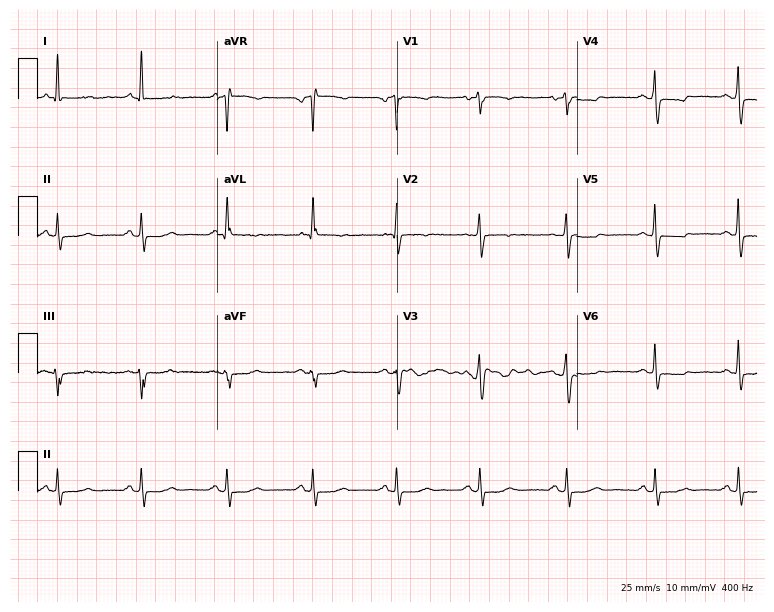
Standard 12-lead ECG recorded from a female, 56 years old. None of these six findings is recorded: first-degree AV block, right bundle branch block, left bundle branch block, sinus bradycardia, atrial fibrillation, sinus tachycardia. Findings outside these six are not listed.